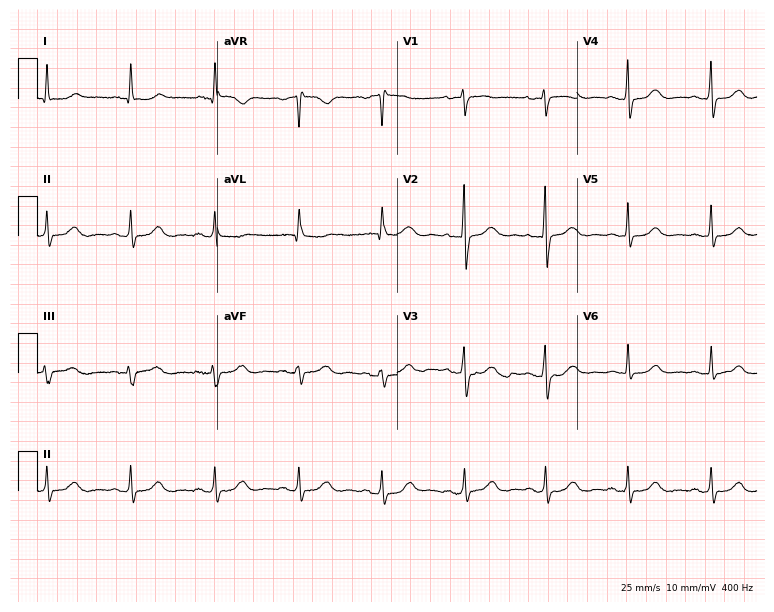
Standard 12-lead ECG recorded from a female patient, 66 years old. Read as a normal ECG.